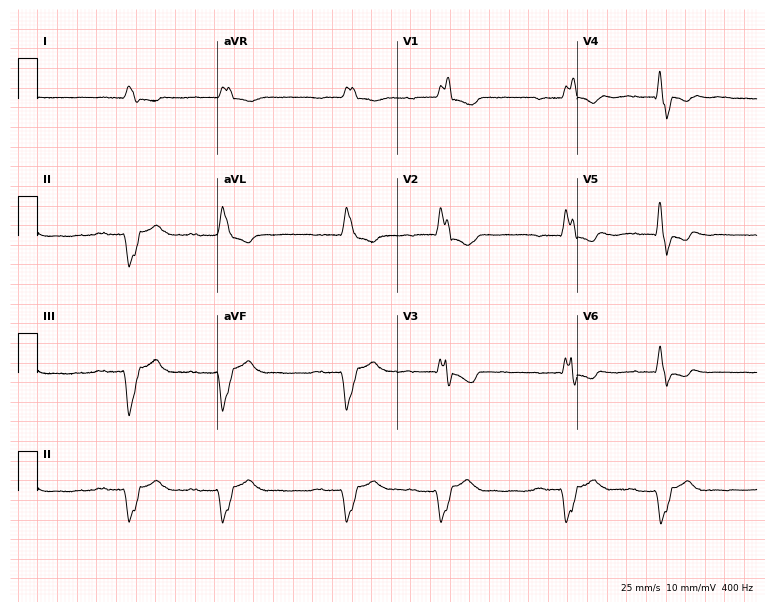
12-lead ECG from a man, 60 years old. Findings include first-degree AV block, atrial fibrillation.